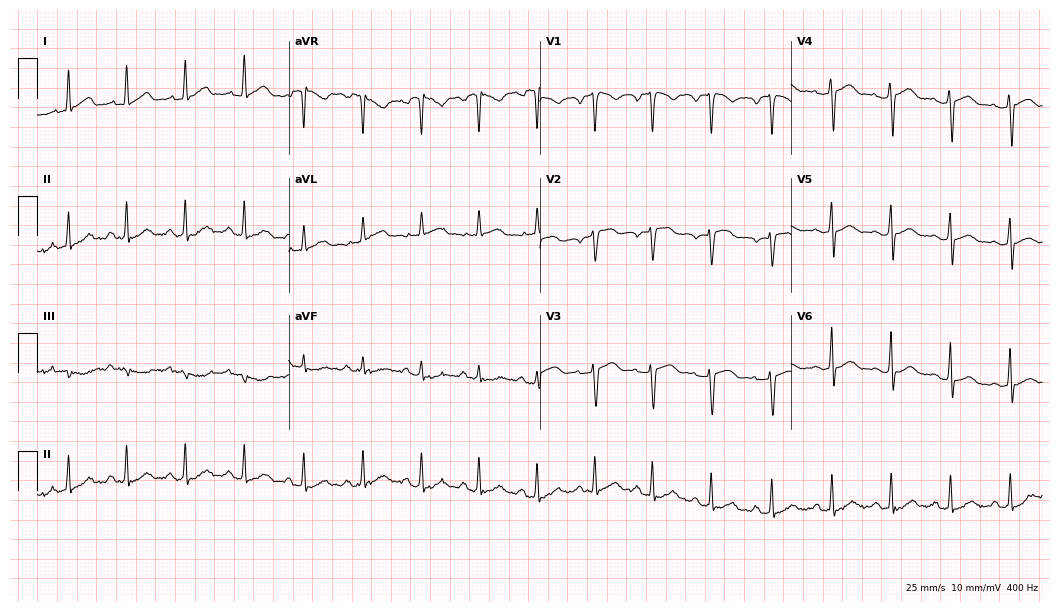
Electrocardiogram (10.2-second recording at 400 Hz), a female patient, 28 years old. Interpretation includes sinus tachycardia (a sinus rate of 100 beats per minute or more).